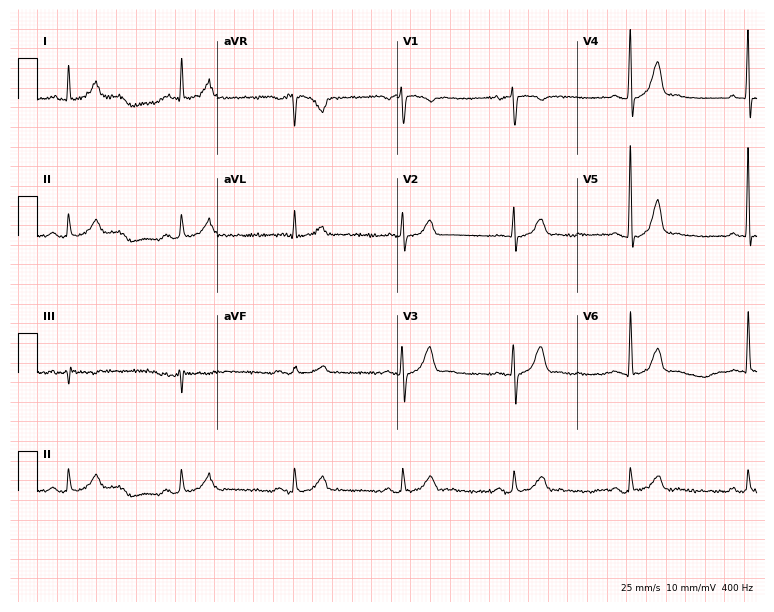
Resting 12-lead electrocardiogram. Patient: a male, 53 years old. Read as a normal ECG.